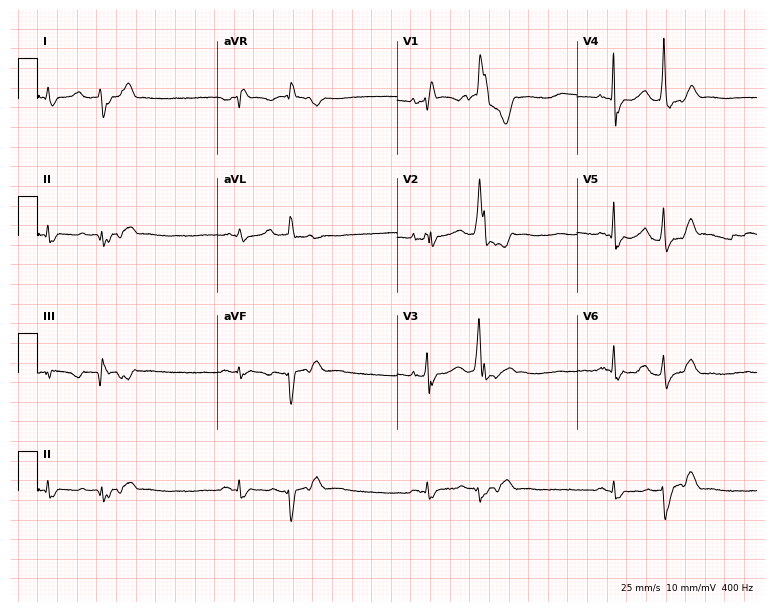
12-lead ECG from a woman, 40 years old. Findings include right bundle branch block.